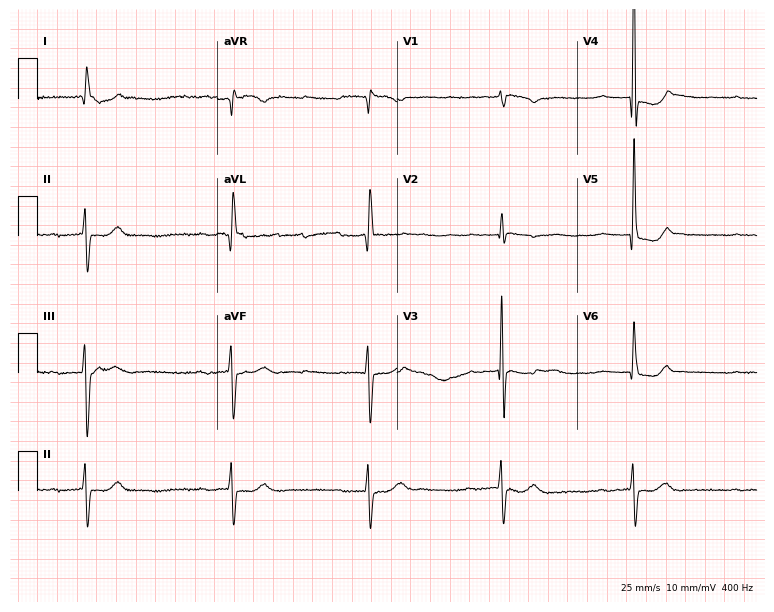
Electrocardiogram (7.3-second recording at 400 Hz), a female patient, 74 years old. Interpretation includes first-degree AV block, sinus bradycardia (a sinus rate of 50 beats per minute or less), atrial fibrillation.